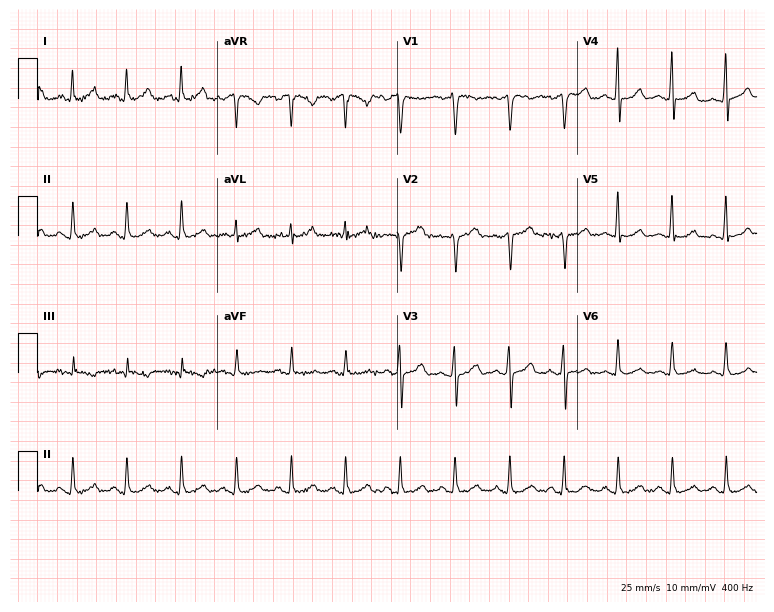
12-lead ECG from a 47-year-old woman. Findings include sinus tachycardia (a sinus rate of 100 beats per minute or more).